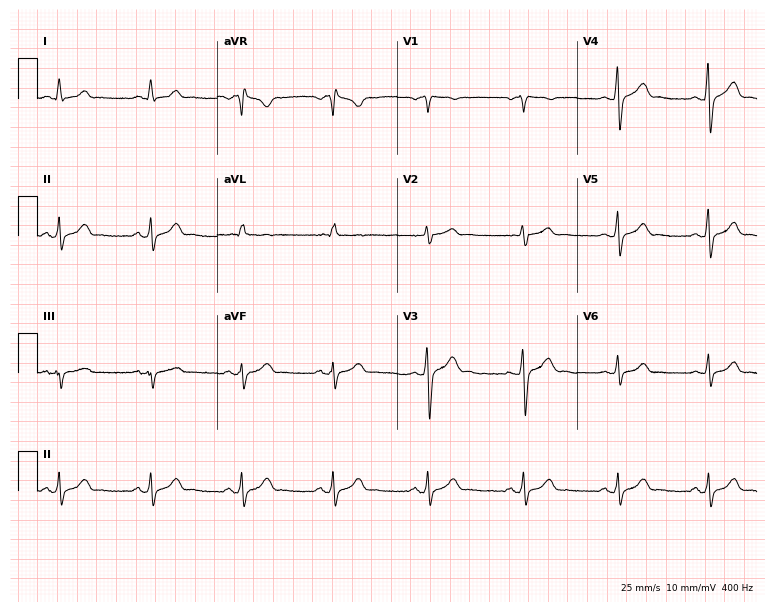
12-lead ECG from a 41-year-old man. No first-degree AV block, right bundle branch block (RBBB), left bundle branch block (LBBB), sinus bradycardia, atrial fibrillation (AF) or sinus tachycardia recorded for this tracing. Findings outside these six are not listed.